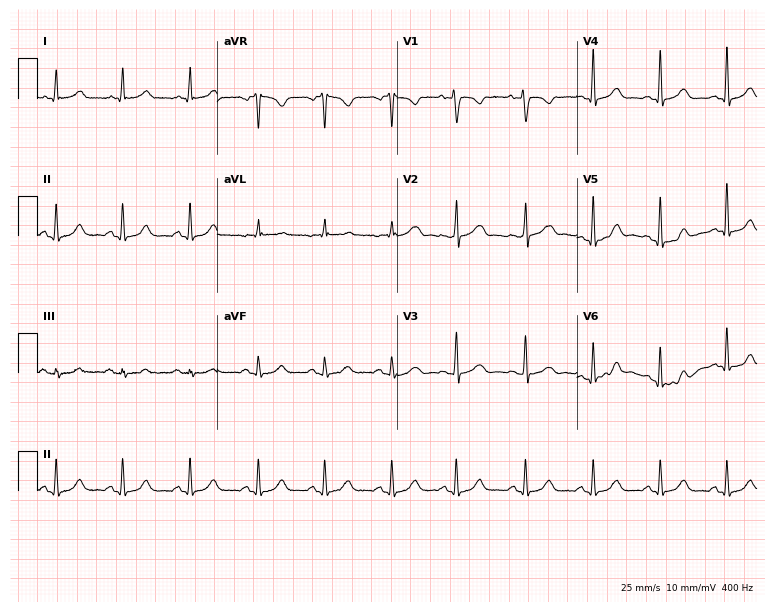
Resting 12-lead electrocardiogram (7.3-second recording at 400 Hz). Patient: a woman, 36 years old. None of these six findings is recorded: first-degree AV block, right bundle branch block, left bundle branch block, sinus bradycardia, atrial fibrillation, sinus tachycardia.